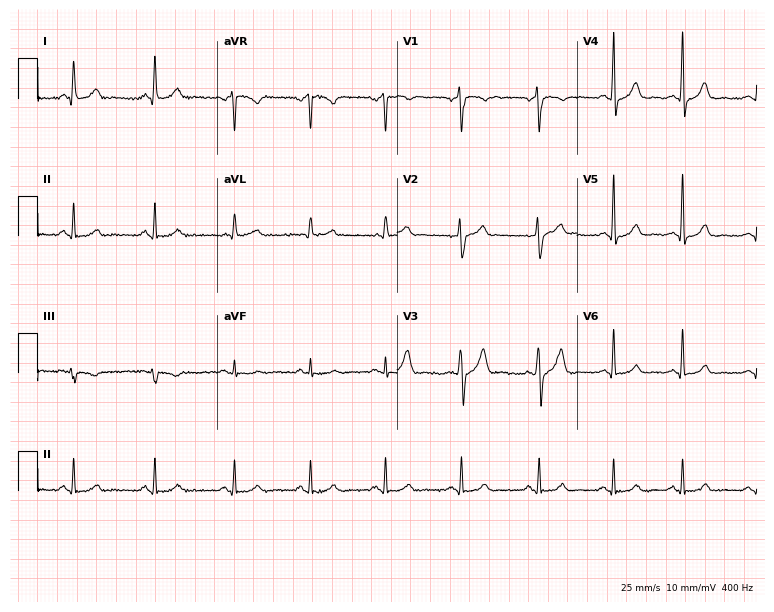
Standard 12-lead ECG recorded from a 47-year-old female. Read as a normal ECG.